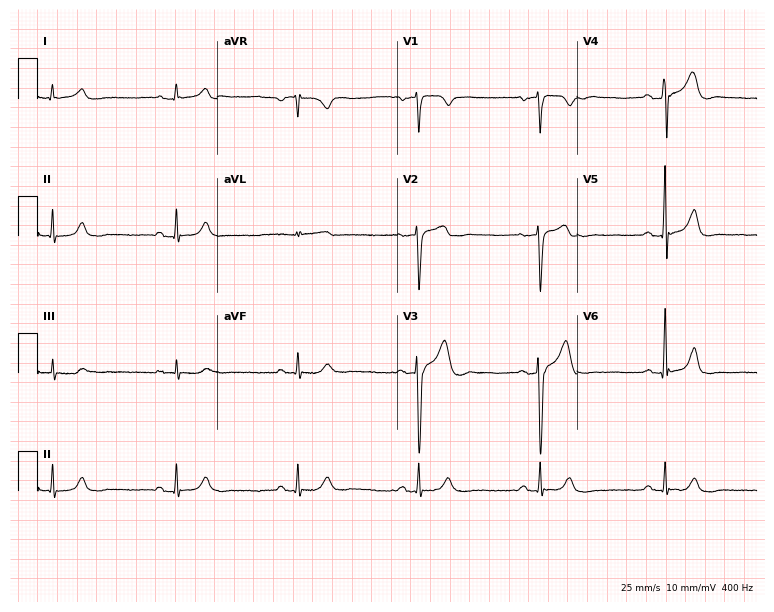
12-lead ECG (7.3-second recording at 400 Hz) from a 41-year-old male. Screened for six findings — first-degree AV block, right bundle branch block (RBBB), left bundle branch block (LBBB), sinus bradycardia, atrial fibrillation (AF), sinus tachycardia — none is recorded. Other findings, if any, are not listed.